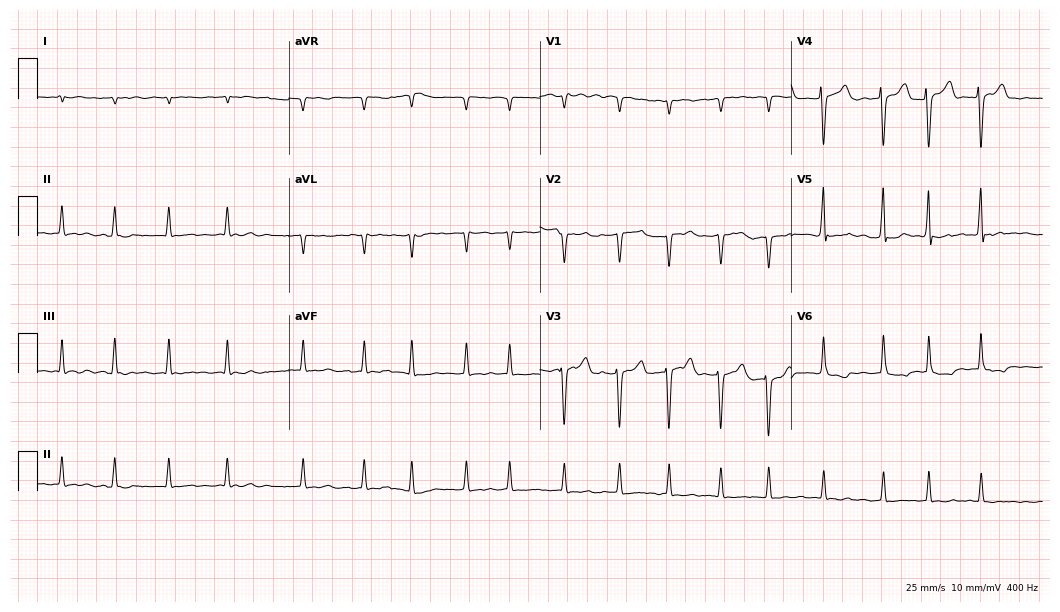
12-lead ECG from a 73-year-old woman. Findings include atrial fibrillation.